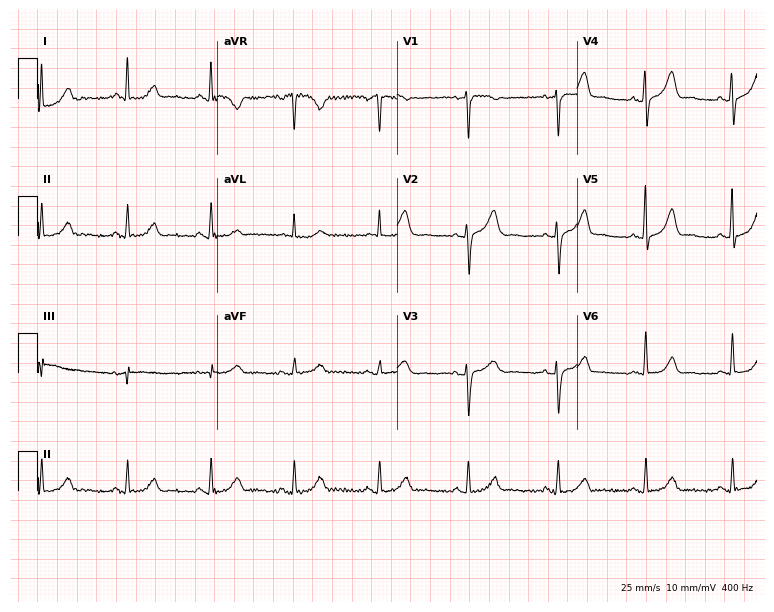
ECG — a woman, 53 years old. Labelled as a normal ECG.